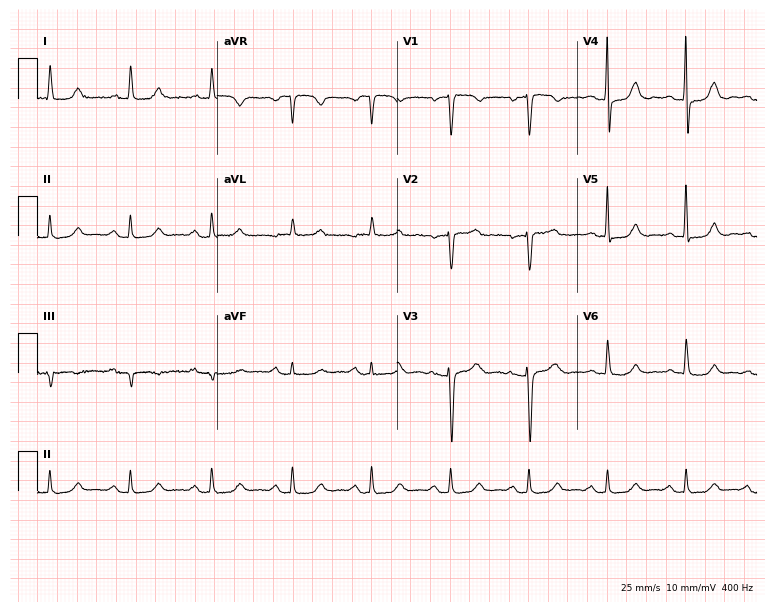
12-lead ECG from a female, 72 years old. Screened for six findings — first-degree AV block, right bundle branch block (RBBB), left bundle branch block (LBBB), sinus bradycardia, atrial fibrillation (AF), sinus tachycardia — none is recorded.